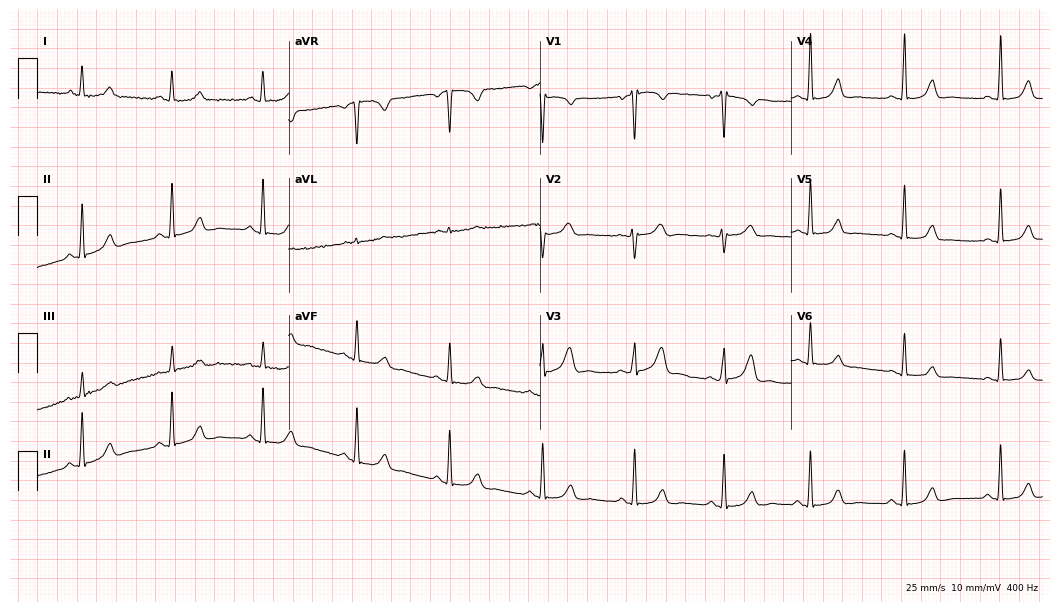
Electrocardiogram (10.2-second recording at 400 Hz), a female patient, 33 years old. Overall reading on record: normal ECG.